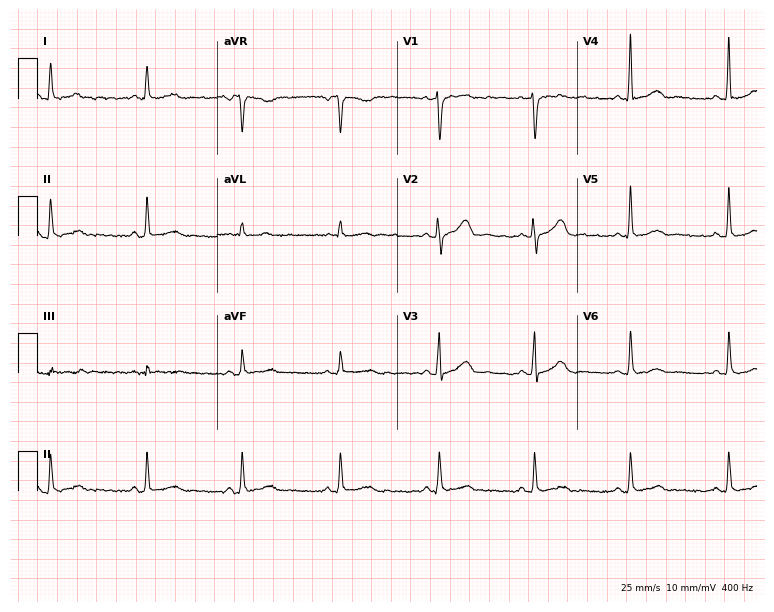
12-lead ECG (7.3-second recording at 400 Hz) from a 55-year-old female patient. Labelled as a normal ECG.